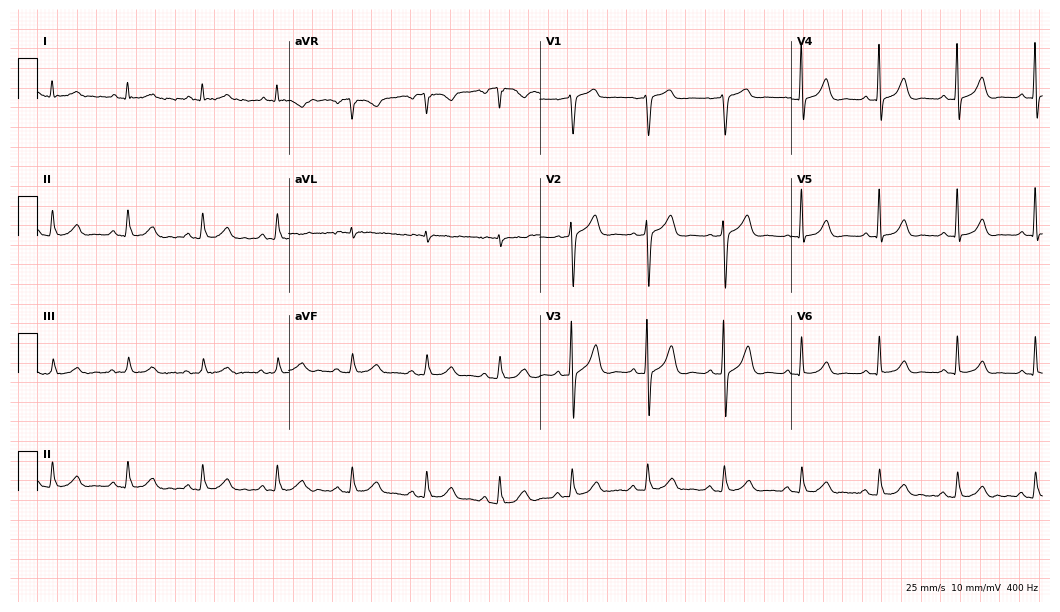
Standard 12-lead ECG recorded from a man, 76 years old (10.2-second recording at 400 Hz). Read as a normal ECG.